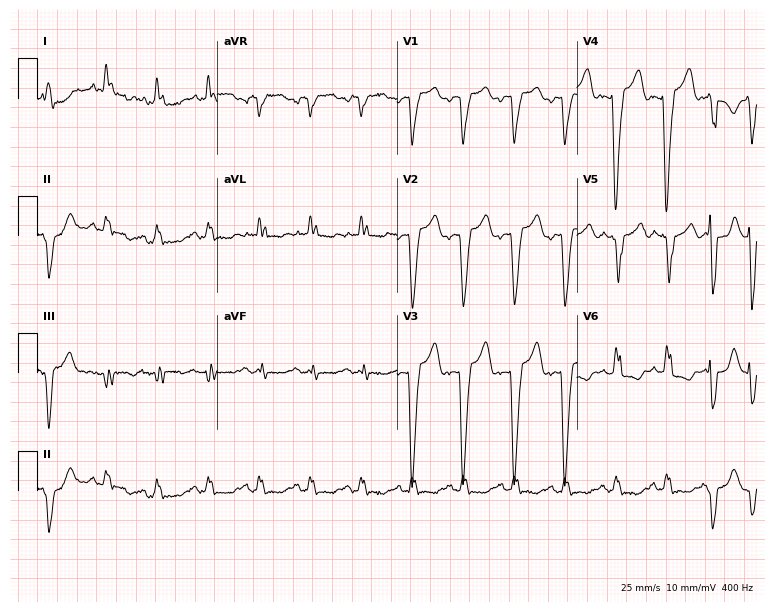
Standard 12-lead ECG recorded from a 75-year-old female patient. The tracing shows left bundle branch block (LBBB), sinus tachycardia (a sinus rate of 100 beats per minute or more).